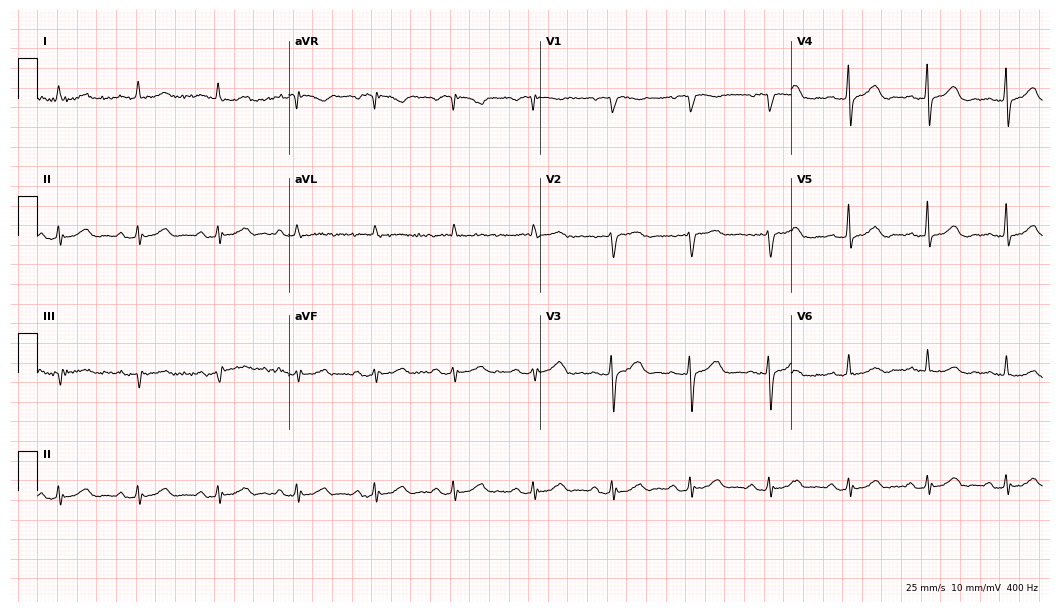
Electrocardiogram, a female patient, 85 years old. Of the six screened findings (first-degree AV block, right bundle branch block (RBBB), left bundle branch block (LBBB), sinus bradycardia, atrial fibrillation (AF), sinus tachycardia), none is recorded.